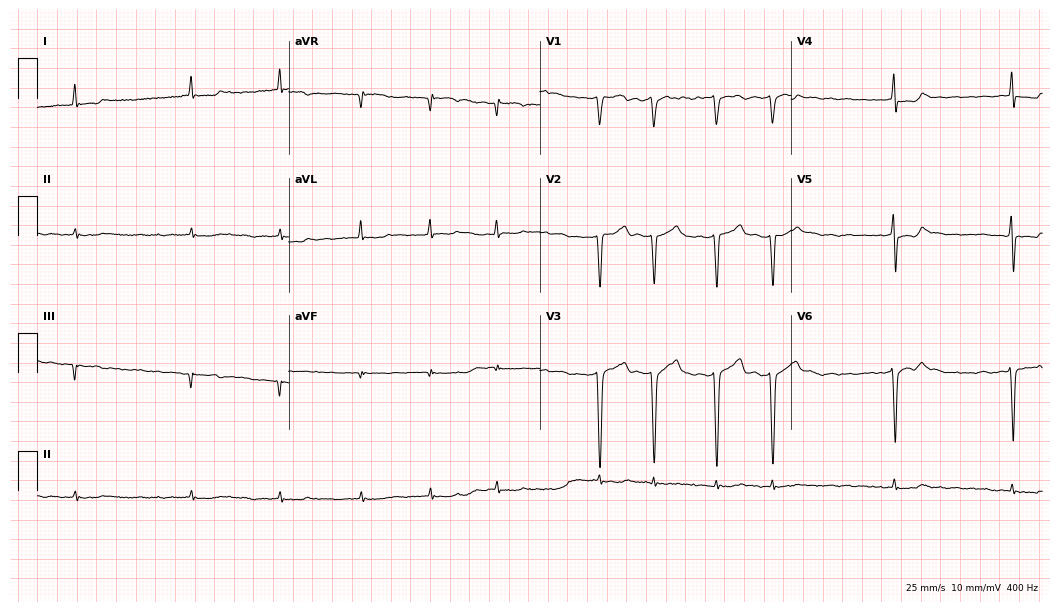
Standard 12-lead ECG recorded from a male, 74 years old. The tracing shows atrial fibrillation (AF).